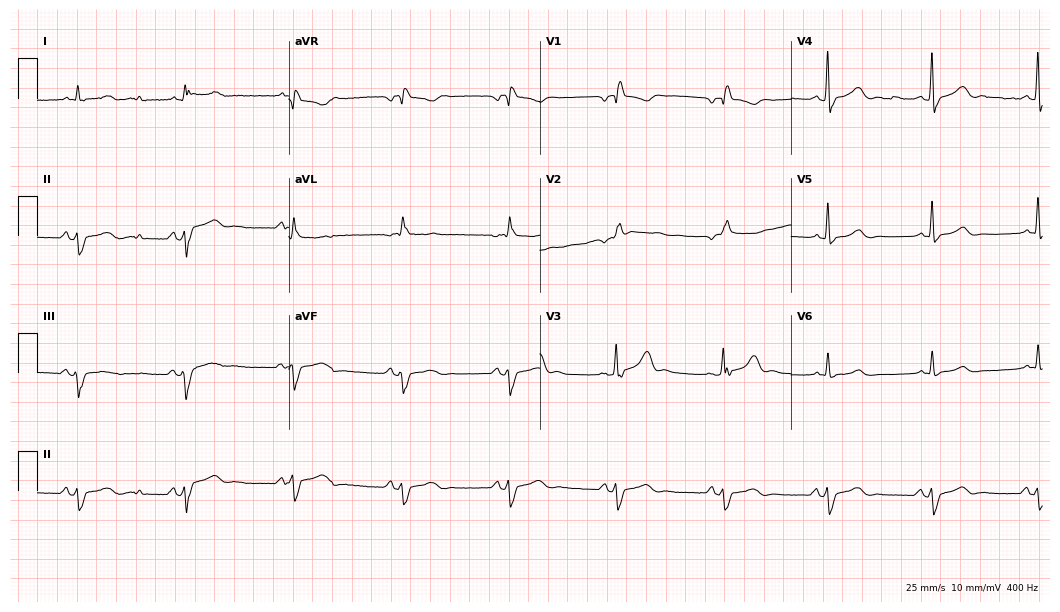
12-lead ECG (10.2-second recording at 400 Hz) from a 53-year-old male patient. Findings include right bundle branch block.